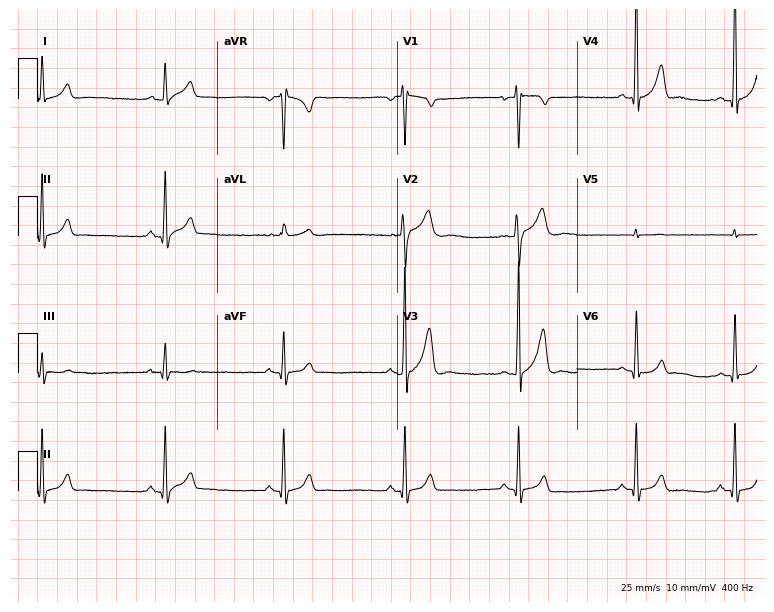
Electrocardiogram (7.3-second recording at 400 Hz), a 52-year-old man. Overall reading on record: normal ECG.